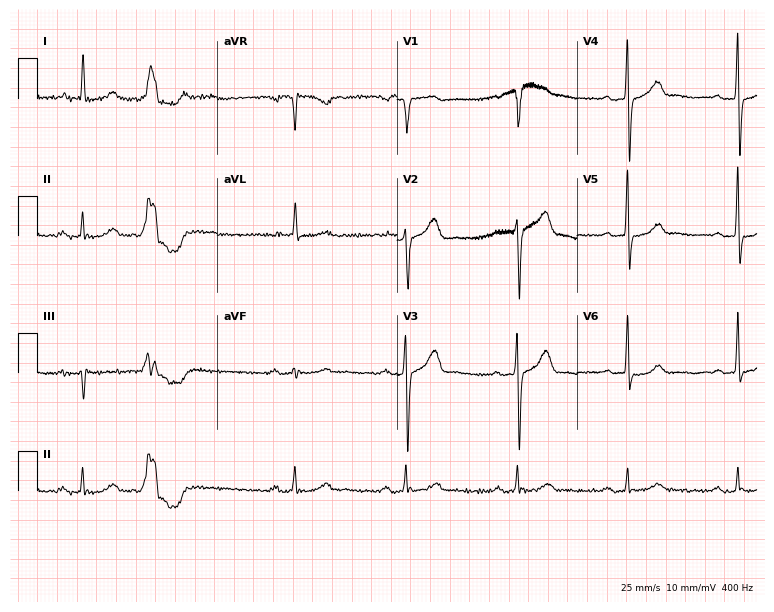
12-lead ECG from a male, 81 years old. Screened for six findings — first-degree AV block, right bundle branch block, left bundle branch block, sinus bradycardia, atrial fibrillation, sinus tachycardia — none is recorded.